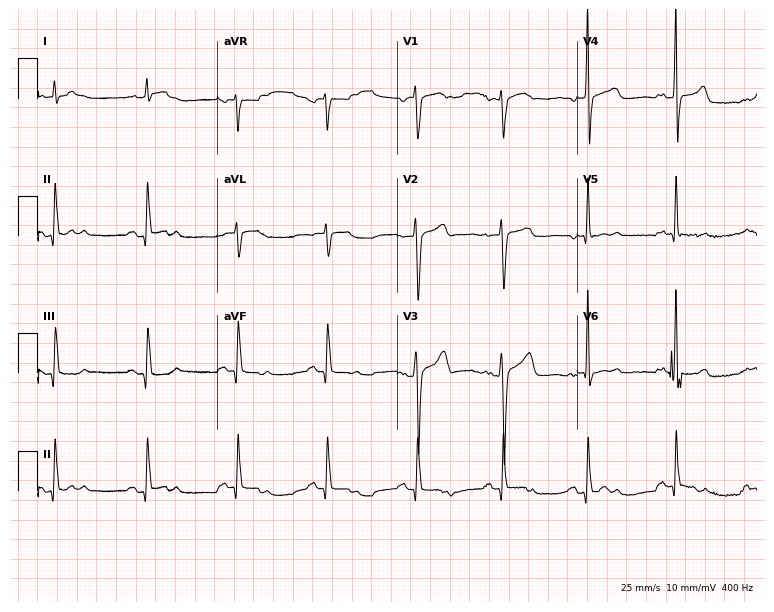
Standard 12-lead ECG recorded from a man, 58 years old. None of these six findings is recorded: first-degree AV block, right bundle branch block, left bundle branch block, sinus bradycardia, atrial fibrillation, sinus tachycardia. Findings outside these six are not listed.